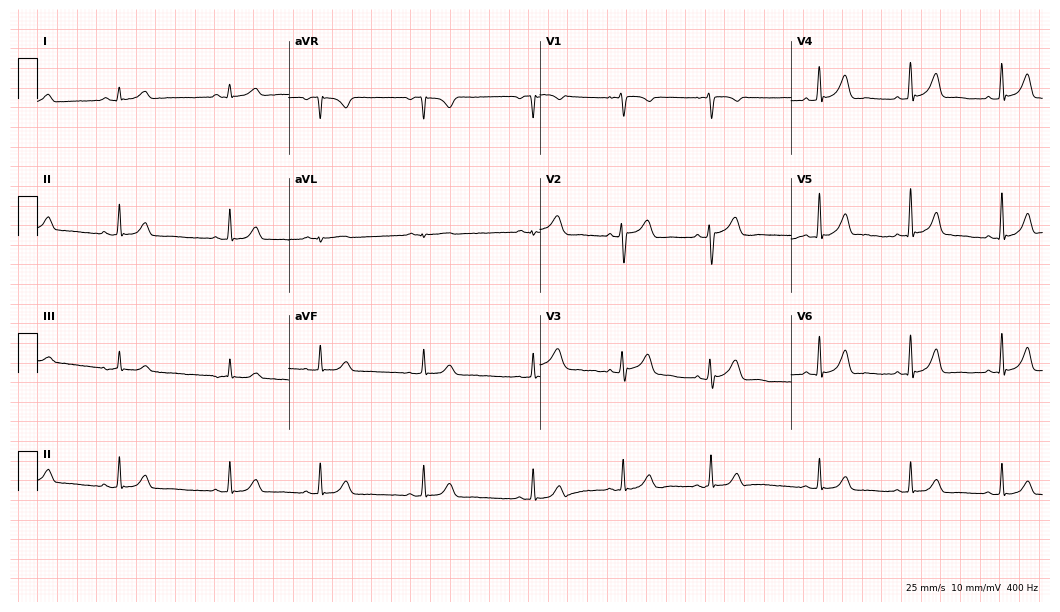
Standard 12-lead ECG recorded from a 28-year-old female. Read as a normal ECG.